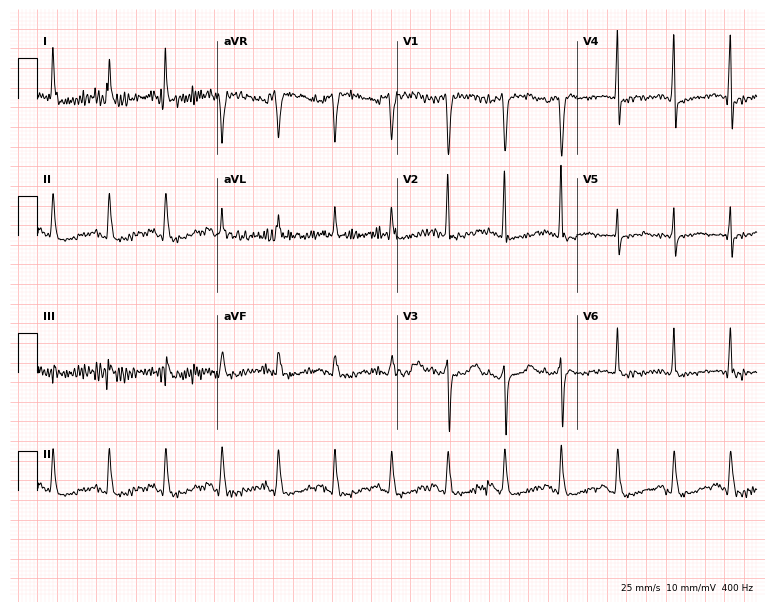
Resting 12-lead electrocardiogram (7.3-second recording at 400 Hz). Patient: a 58-year-old female. None of these six findings is recorded: first-degree AV block, right bundle branch block (RBBB), left bundle branch block (LBBB), sinus bradycardia, atrial fibrillation (AF), sinus tachycardia. Only these six findings were labelled.